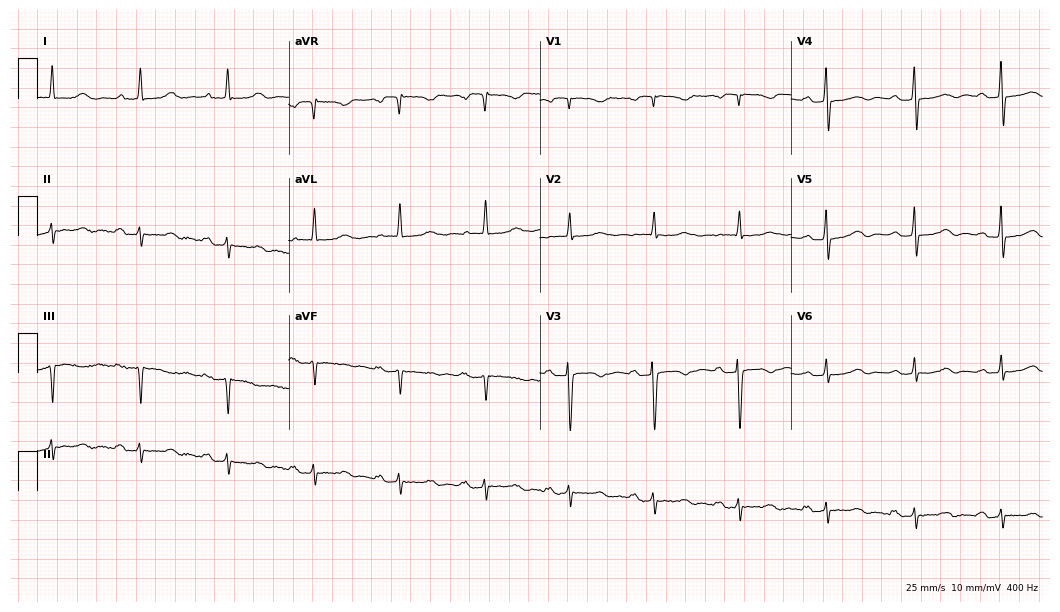
Standard 12-lead ECG recorded from an 85-year-old female (10.2-second recording at 400 Hz). The tracing shows first-degree AV block.